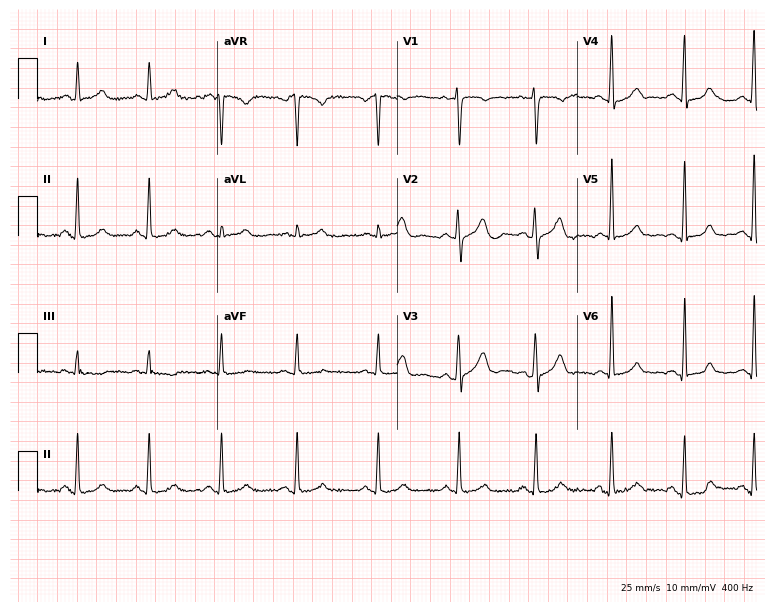
Electrocardiogram, a female patient, 29 years old. Overall reading on record: normal ECG.